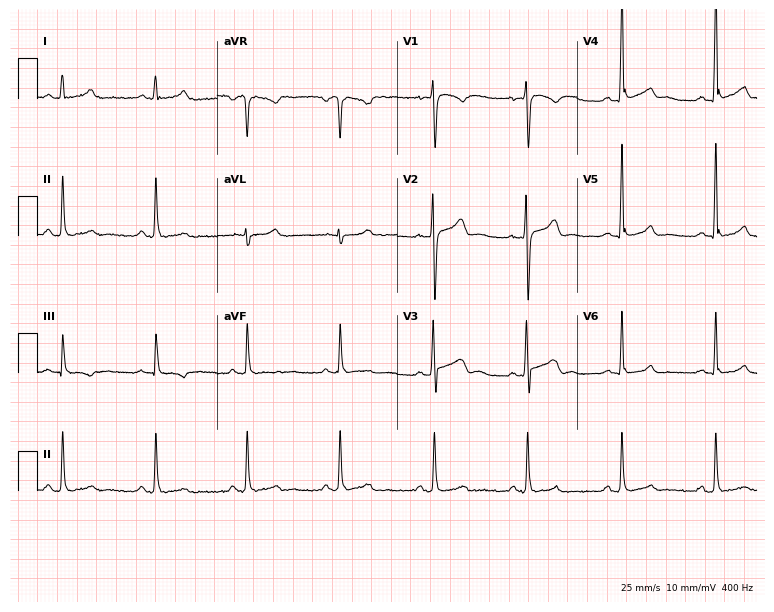
Standard 12-lead ECG recorded from a male, 29 years old (7.3-second recording at 400 Hz). None of these six findings is recorded: first-degree AV block, right bundle branch block, left bundle branch block, sinus bradycardia, atrial fibrillation, sinus tachycardia.